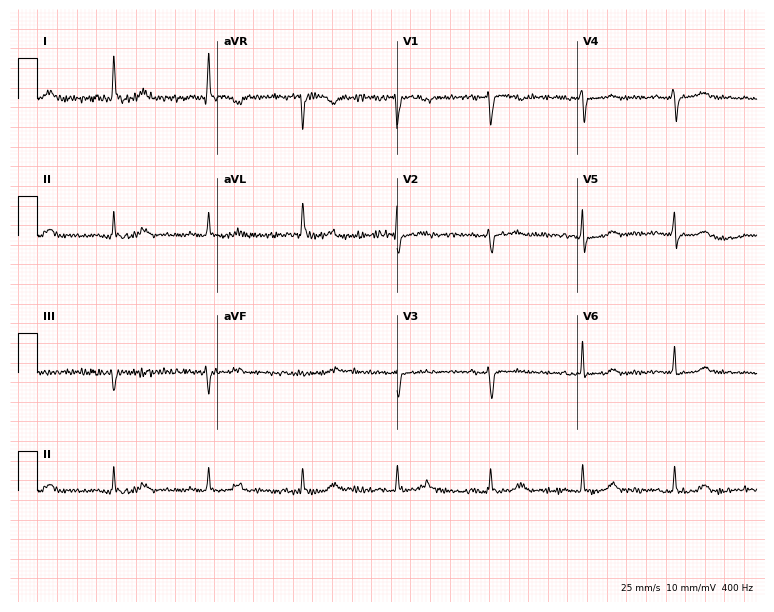
12-lead ECG from a 71-year-old female. Labelled as a normal ECG.